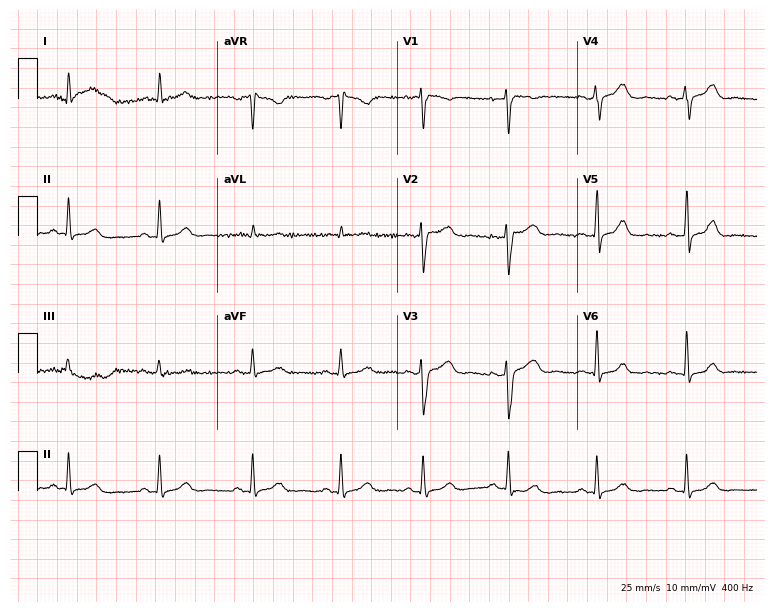
12-lead ECG from a 37-year-old woman. Labelled as a normal ECG.